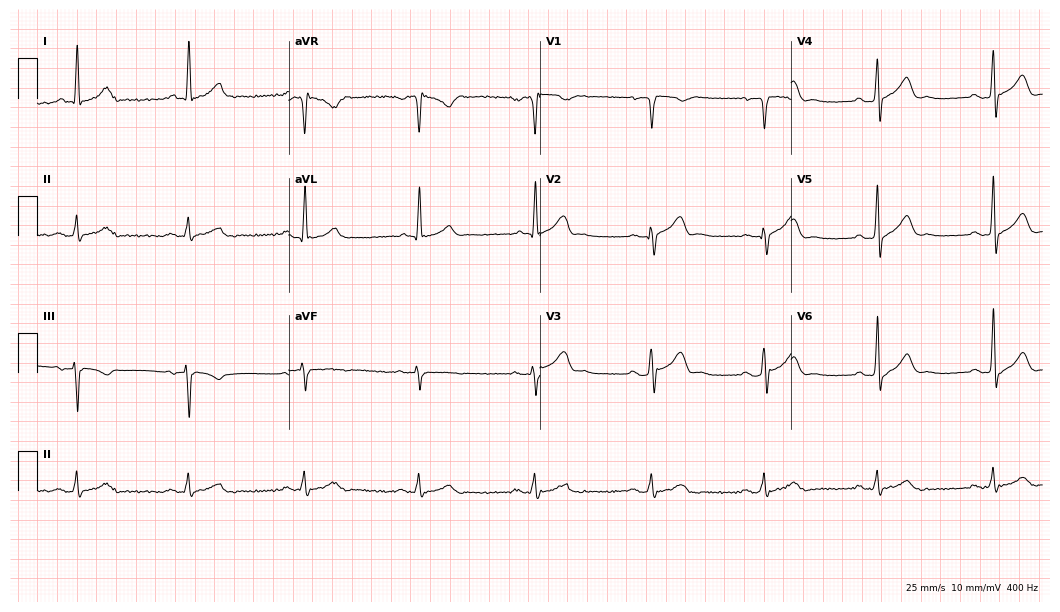
Standard 12-lead ECG recorded from a male, 47 years old (10.2-second recording at 400 Hz). Read as a normal ECG.